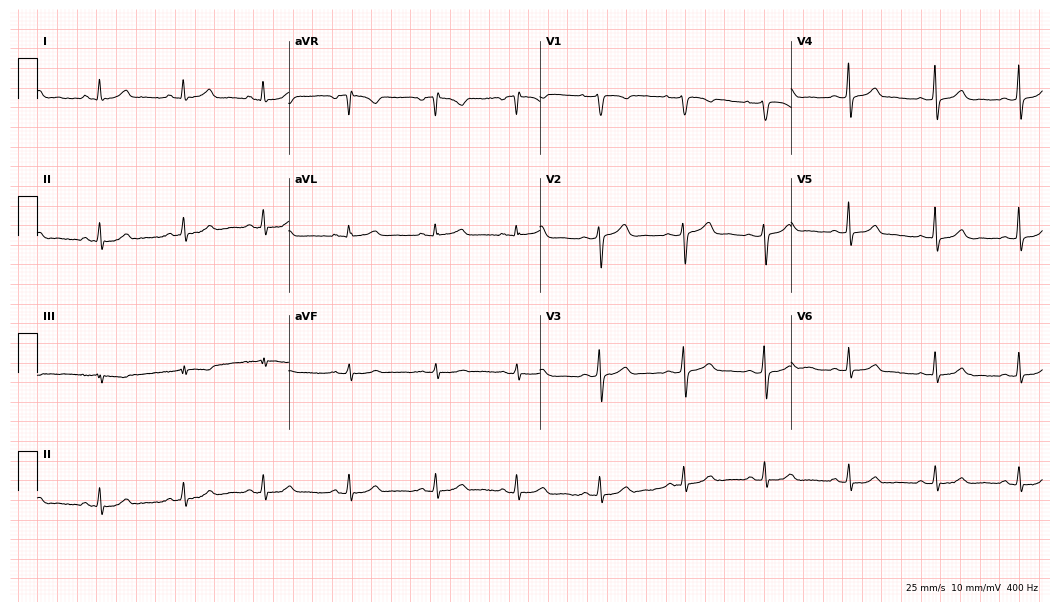
ECG — a woman, 35 years old. Labelled as a normal ECG.